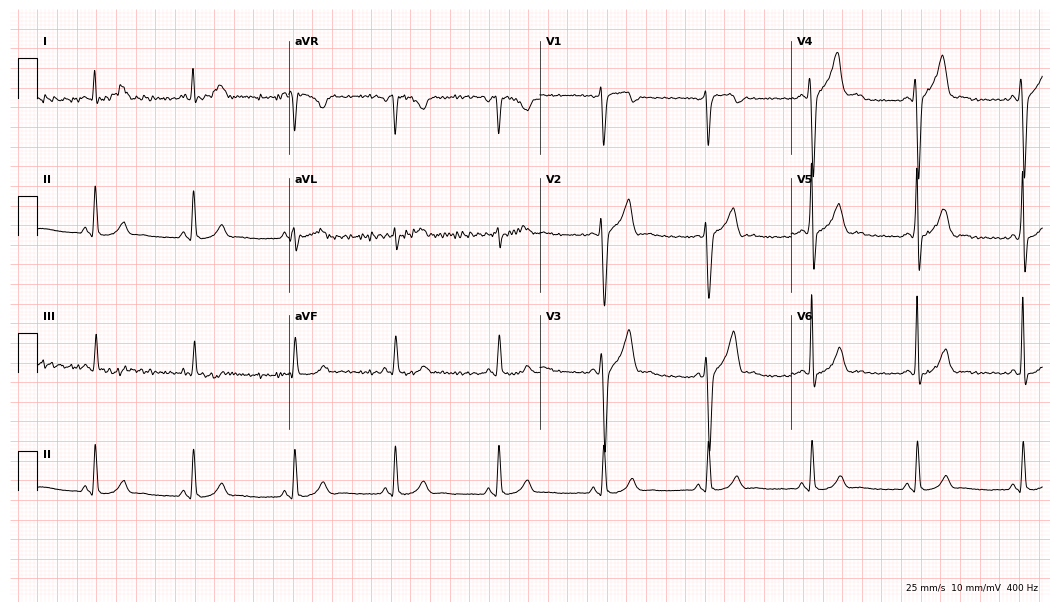
Standard 12-lead ECG recorded from a male patient, 40 years old. None of these six findings is recorded: first-degree AV block, right bundle branch block, left bundle branch block, sinus bradycardia, atrial fibrillation, sinus tachycardia.